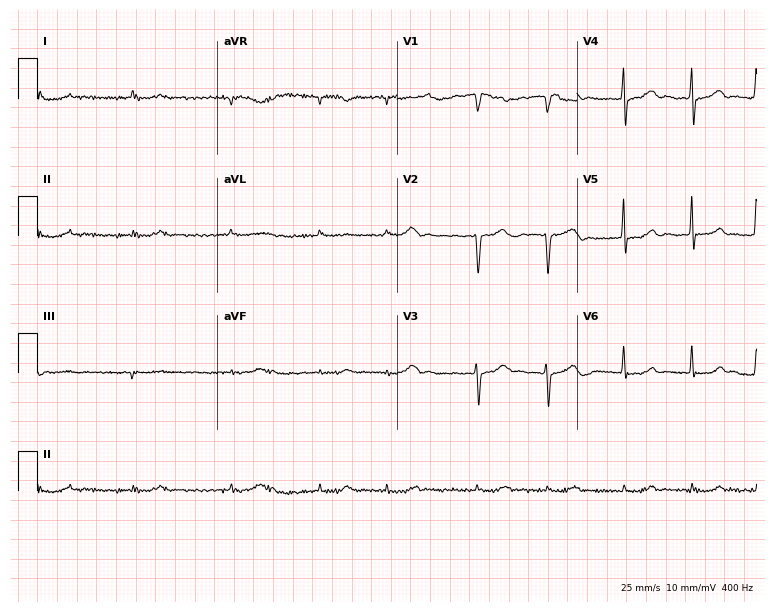
Standard 12-lead ECG recorded from a 70-year-old male patient. The tracing shows atrial fibrillation (AF).